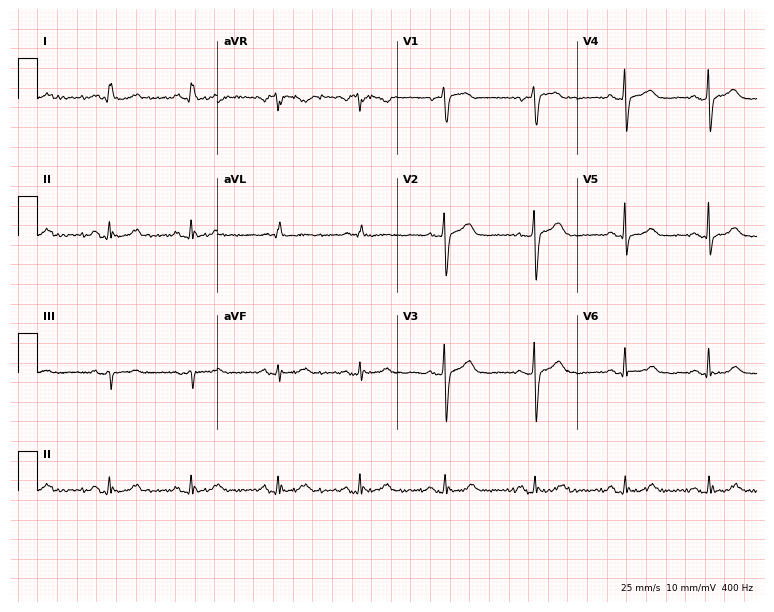
Resting 12-lead electrocardiogram (7.3-second recording at 400 Hz). Patient: a 65-year-old female. None of these six findings is recorded: first-degree AV block, right bundle branch block (RBBB), left bundle branch block (LBBB), sinus bradycardia, atrial fibrillation (AF), sinus tachycardia.